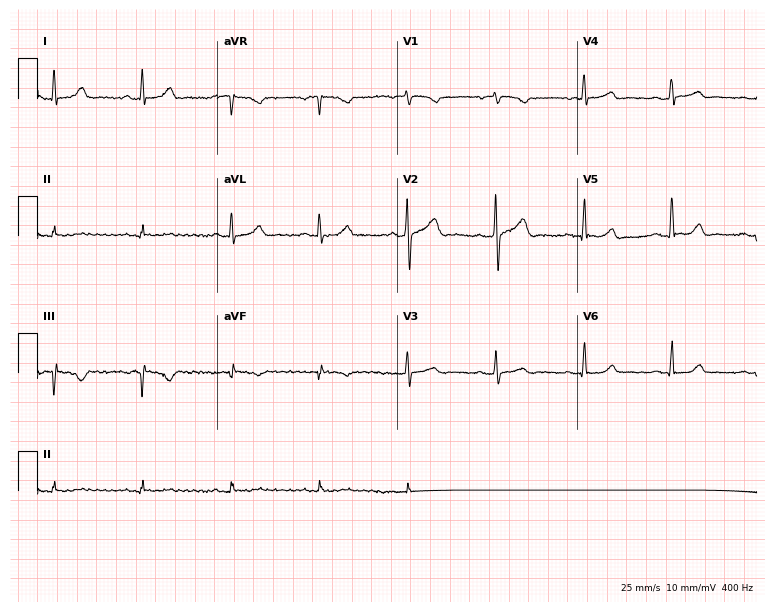
Resting 12-lead electrocardiogram. Patient: a woman, 63 years old. None of these six findings is recorded: first-degree AV block, right bundle branch block, left bundle branch block, sinus bradycardia, atrial fibrillation, sinus tachycardia. Other findings, if any, are not listed.